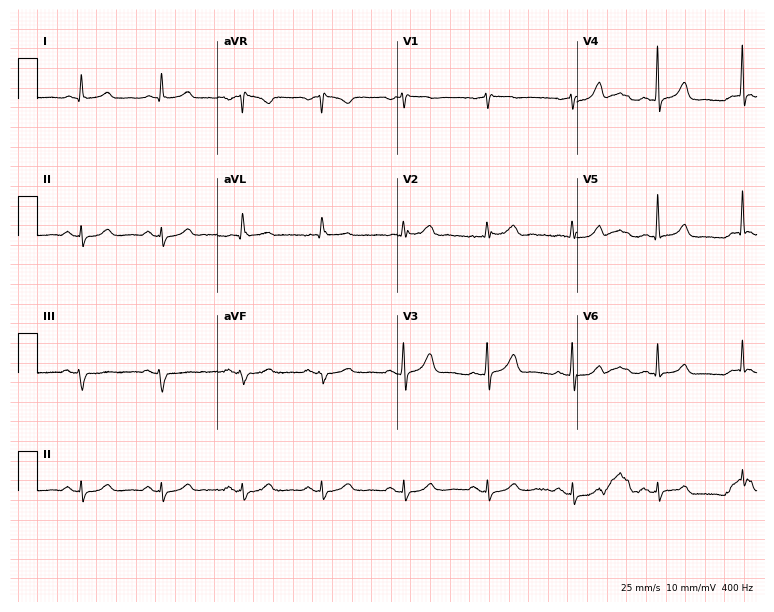
ECG (7.3-second recording at 400 Hz) — a 75-year-old man. Screened for six findings — first-degree AV block, right bundle branch block, left bundle branch block, sinus bradycardia, atrial fibrillation, sinus tachycardia — none is recorded. Findings outside these six are not listed.